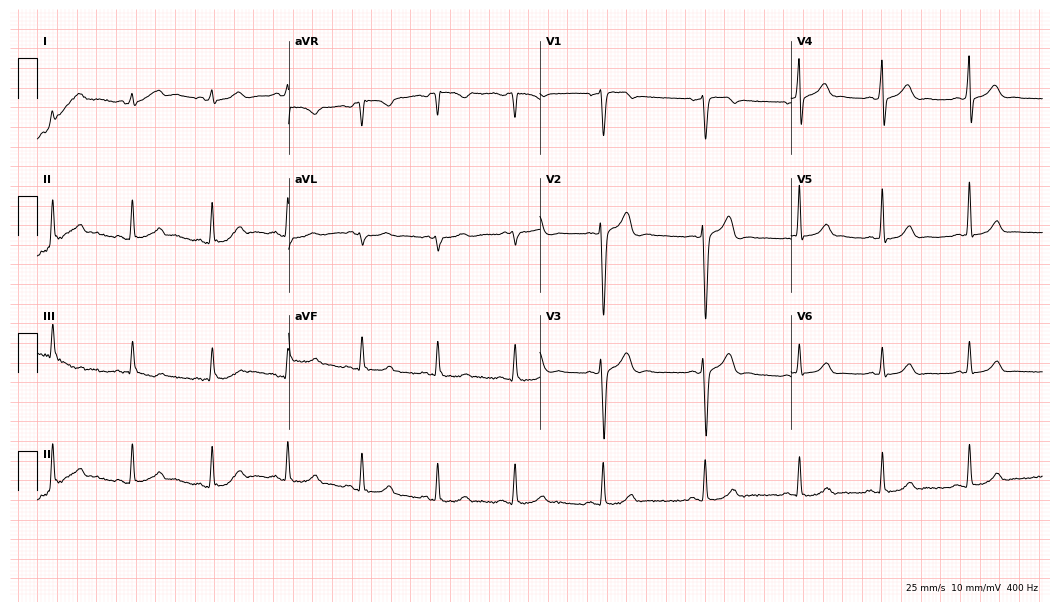
Electrocardiogram, a 30-year-old male. Of the six screened findings (first-degree AV block, right bundle branch block (RBBB), left bundle branch block (LBBB), sinus bradycardia, atrial fibrillation (AF), sinus tachycardia), none is recorded. Findings outside these six are not listed.